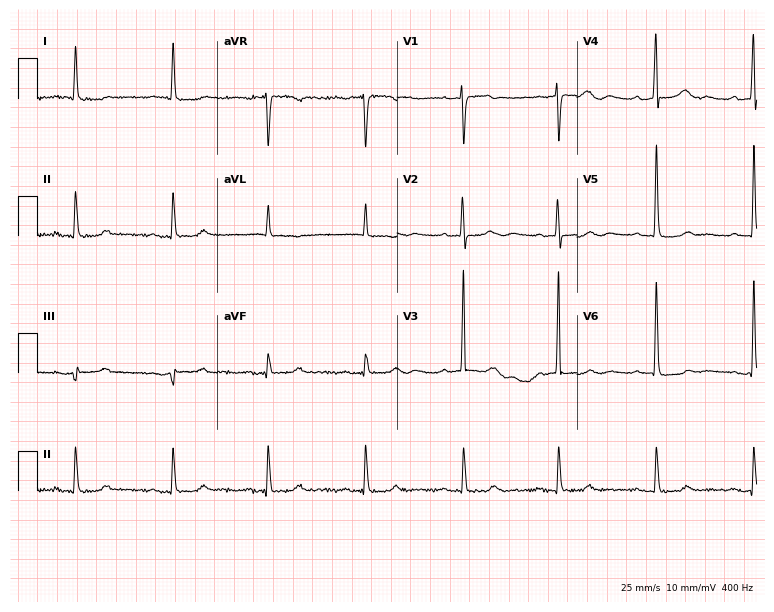
Resting 12-lead electrocardiogram (7.3-second recording at 400 Hz). Patient: a female, 77 years old. None of these six findings is recorded: first-degree AV block, right bundle branch block, left bundle branch block, sinus bradycardia, atrial fibrillation, sinus tachycardia.